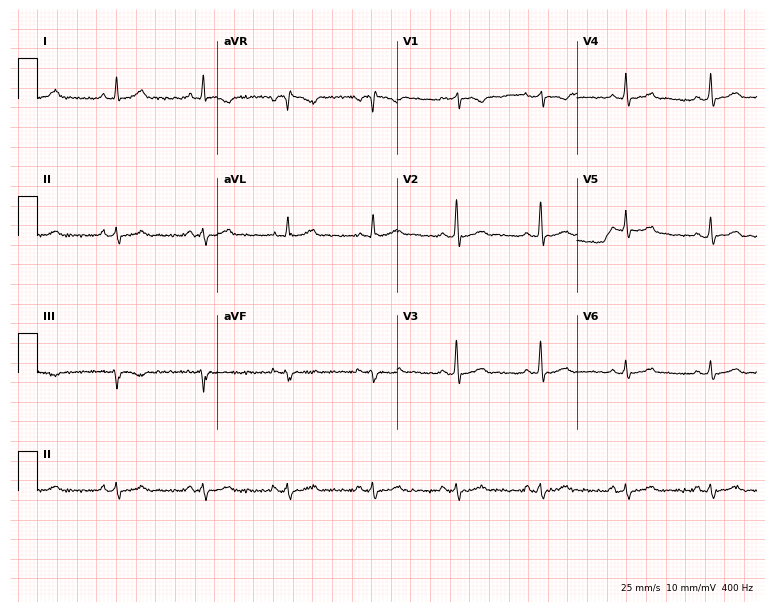
ECG — a 65-year-old male. Labelled as a normal ECG.